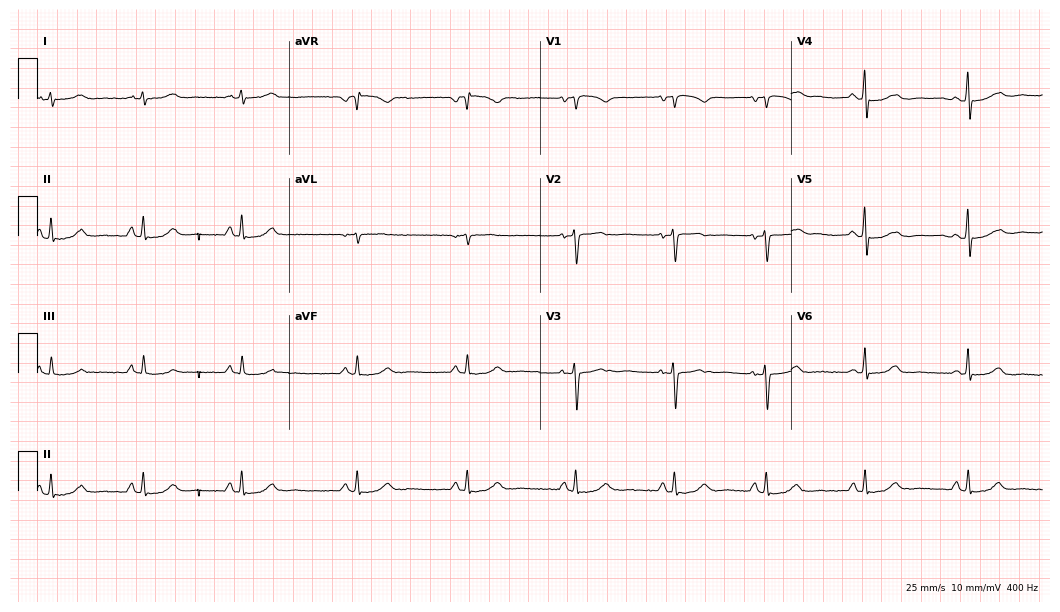
12-lead ECG from a female, 44 years old. Screened for six findings — first-degree AV block, right bundle branch block (RBBB), left bundle branch block (LBBB), sinus bradycardia, atrial fibrillation (AF), sinus tachycardia — none is recorded.